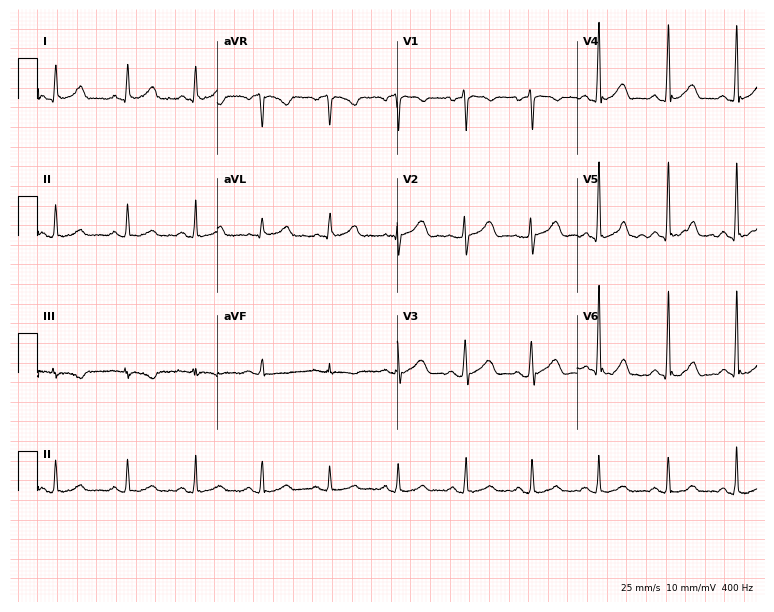
Electrocardiogram (7.3-second recording at 400 Hz), a 52-year-old female. Of the six screened findings (first-degree AV block, right bundle branch block (RBBB), left bundle branch block (LBBB), sinus bradycardia, atrial fibrillation (AF), sinus tachycardia), none is recorded.